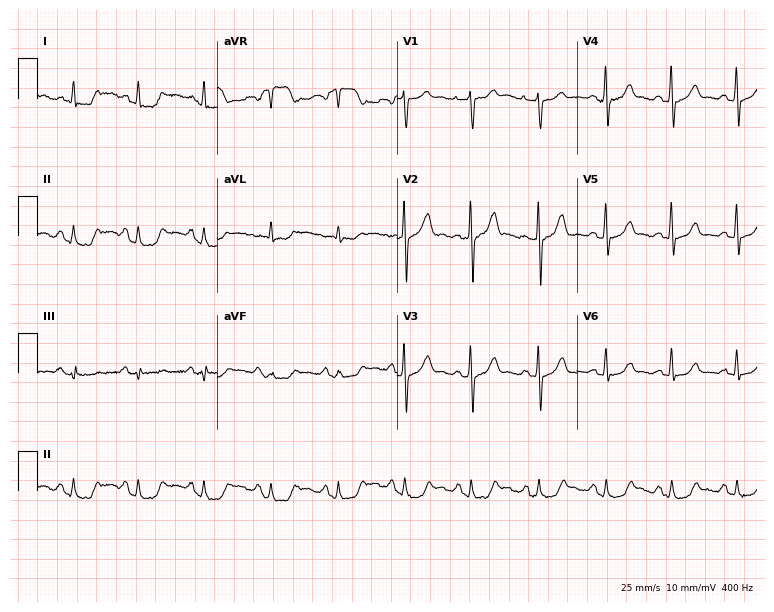
12-lead ECG from a male, 53 years old. Screened for six findings — first-degree AV block, right bundle branch block (RBBB), left bundle branch block (LBBB), sinus bradycardia, atrial fibrillation (AF), sinus tachycardia — none is recorded. Findings outside these six are not listed.